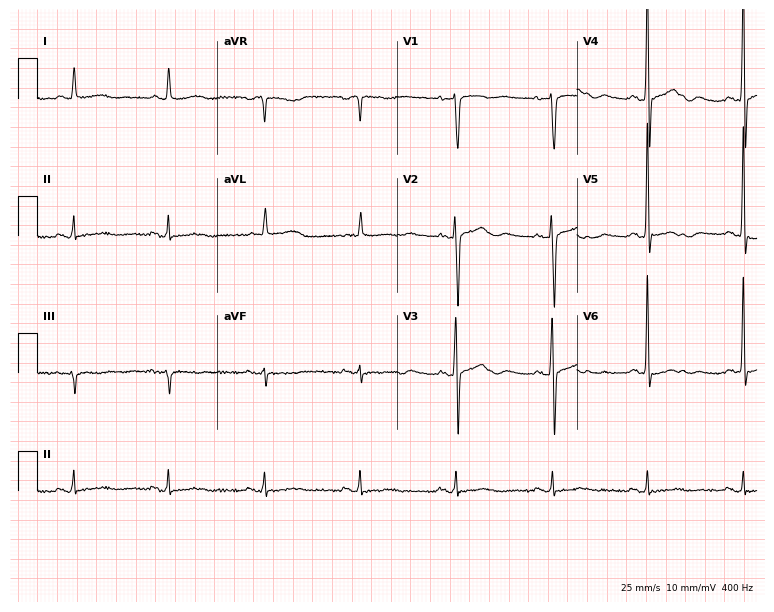
12-lead ECG from a female patient, 81 years old. No first-degree AV block, right bundle branch block, left bundle branch block, sinus bradycardia, atrial fibrillation or sinus tachycardia recorded for this tracing. Only these six findings were labelled.